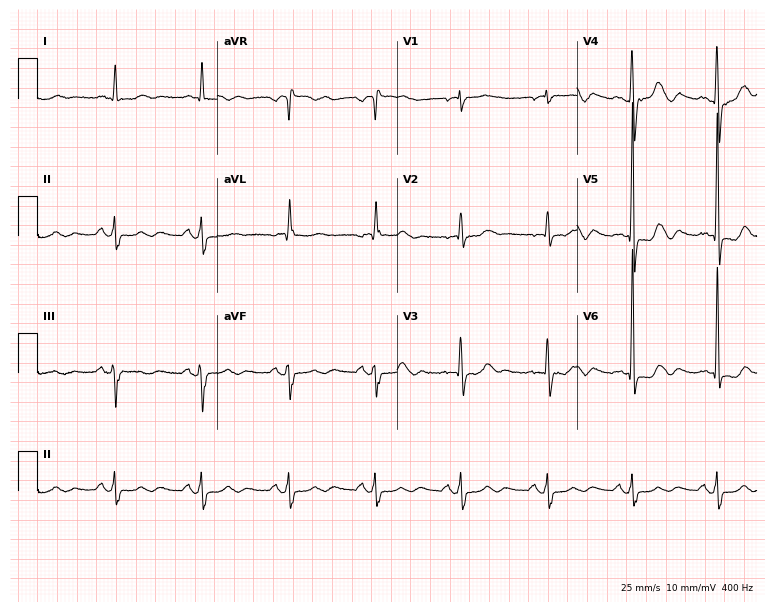
12-lead ECG from a 76-year-old woman (7.3-second recording at 400 Hz). No first-degree AV block, right bundle branch block (RBBB), left bundle branch block (LBBB), sinus bradycardia, atrial fibrillation (AF) or sinus tachycardia recorded for this tracing. Only these six findings were labelled.